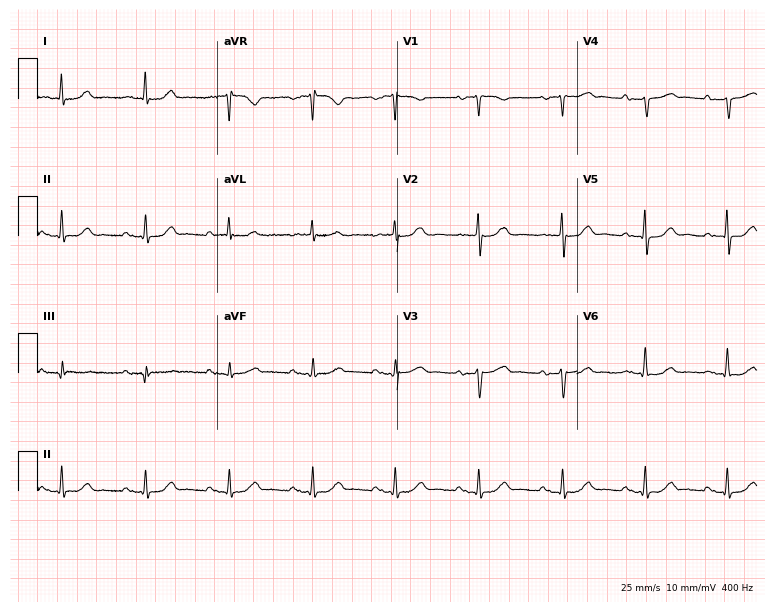
12-lead ECG from a female patient, 85 years old (7.3-second recording at 400 Hz). Recorded interpretation: within normal limits.